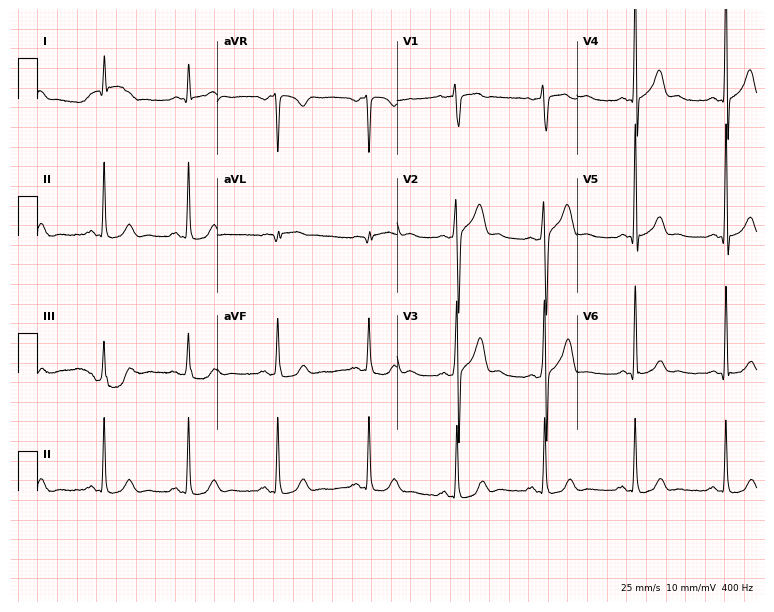
12-lead ECG from a 65-year-old male (7.3-second recording at 400 Hz). Recorded interpretation: within normal limits.